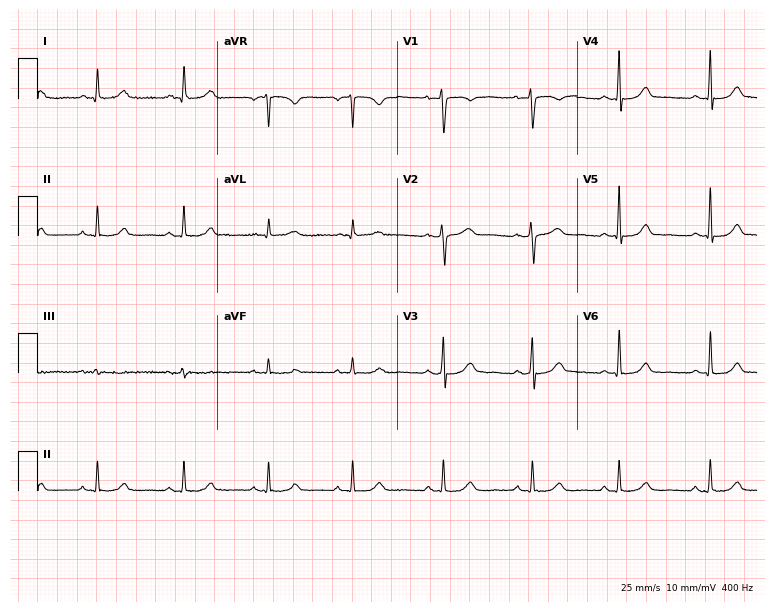
Electrocardiogram (7.3-second recording at 400 Hz), a female, 39 years old. Overall reading on record: normal ECG.